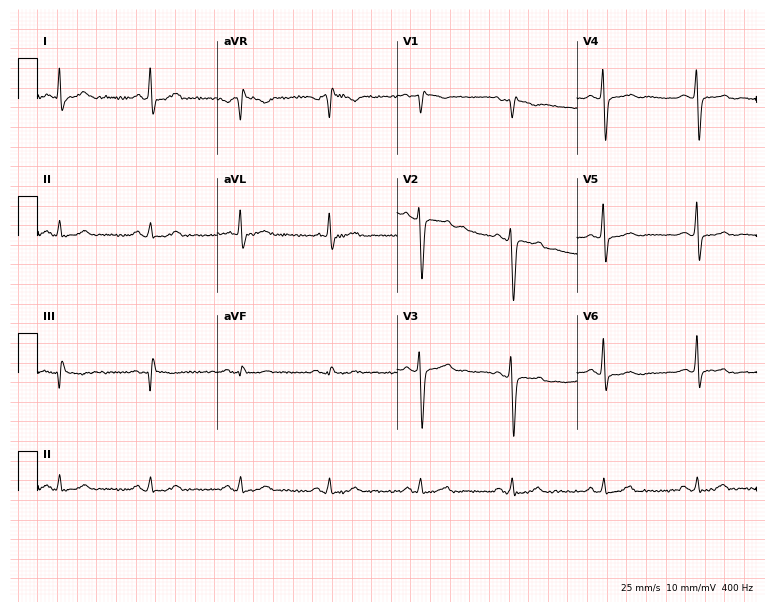
Resting 12-lead electrocardiogram. Patient: a male, 55 years old. None of these six findings is recorded: first-degree AV block, right bundle branch block, left bundle branch block, sinus bradycardia, atrial fibrillation, sinus tachycardia.